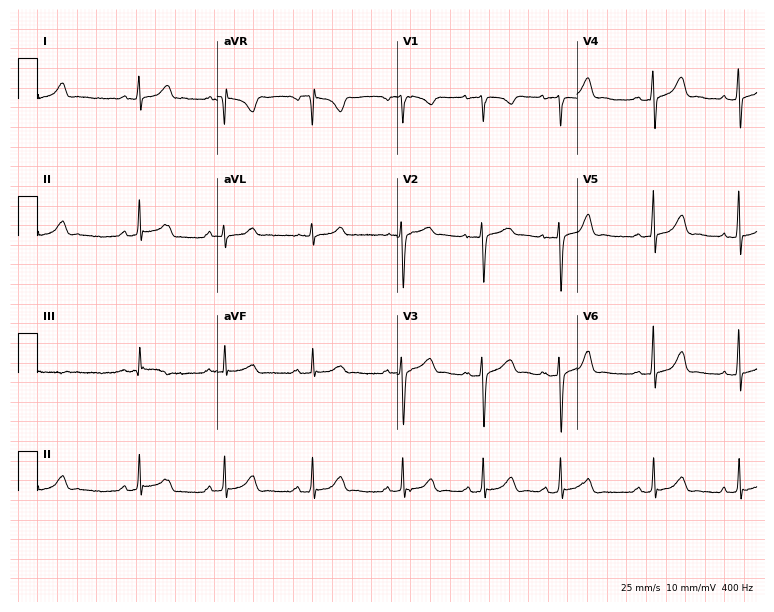
Standard 12-lead ECG recorded from a female, 24 years old (7.3-second recording at 400 Hz). Read as a normal ECG.